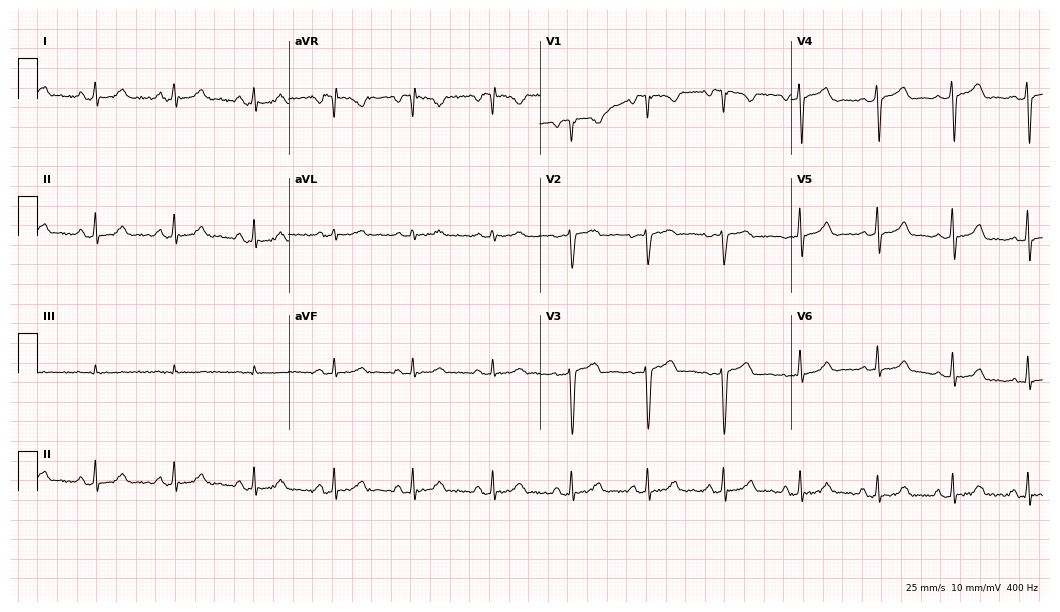
Standard 12-lead ECG recorded from a female patient, 33 years old (10.2-second recording at 400 Hz). Read as a normal ECG.